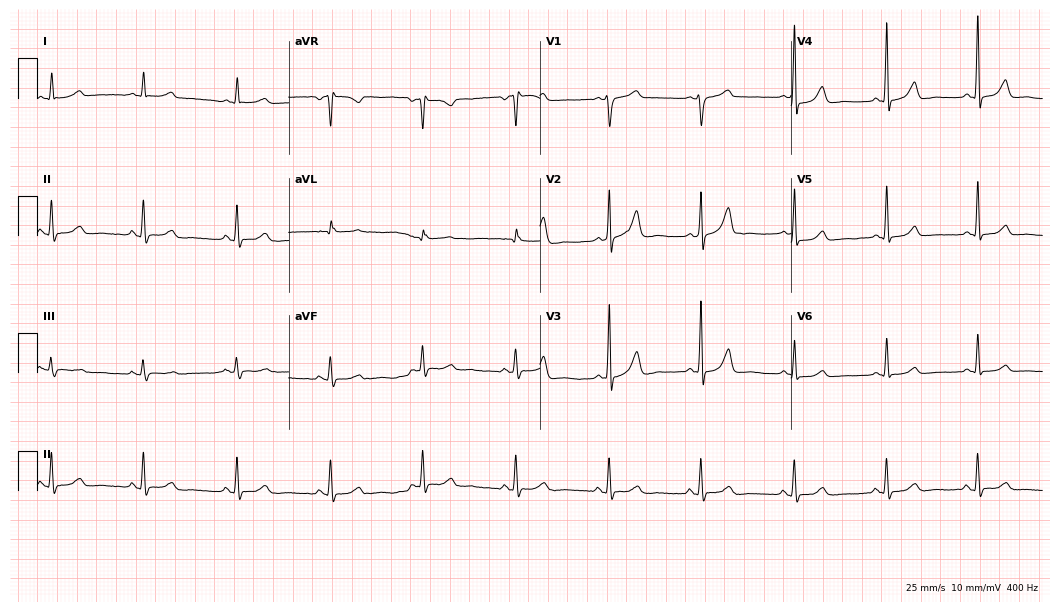
12-lead ECG from a male patient, 62 years old. Labelled as a normal ECG.